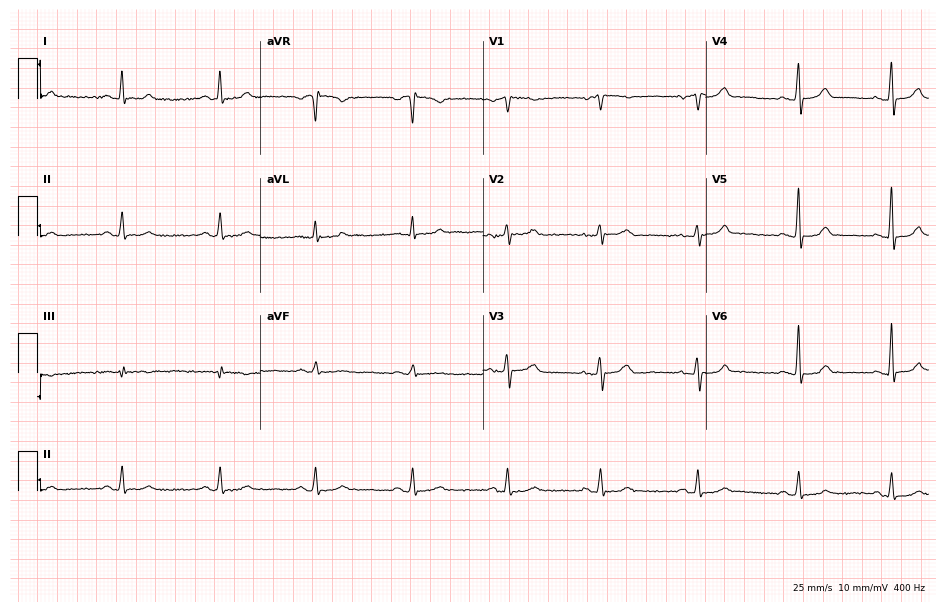
Resting 12-lead electrocardiogram. Patient: a 48-year-old female. Read as a normal ECG.